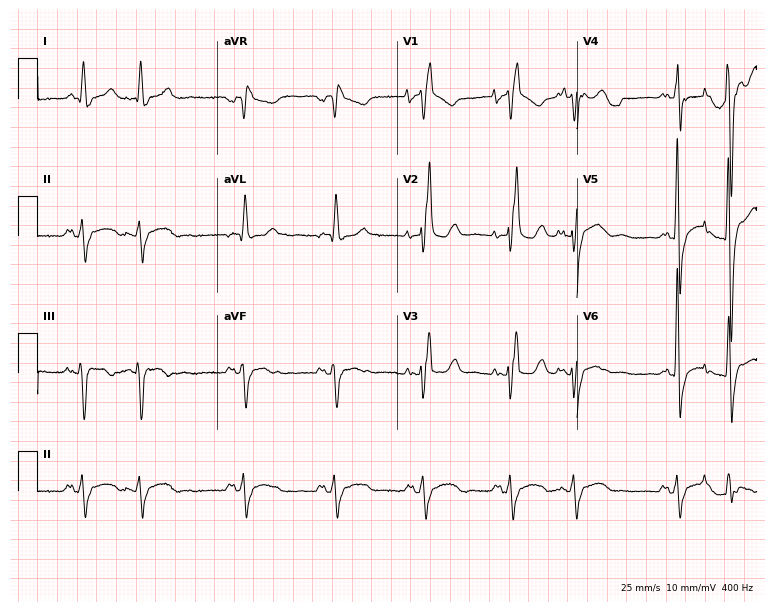
Standard 12-lead ECG recorded from a 73-year-old female patient (7.3-second recording at 400 Hz). The tracing shows right bundle branch block, left bundle branch block.